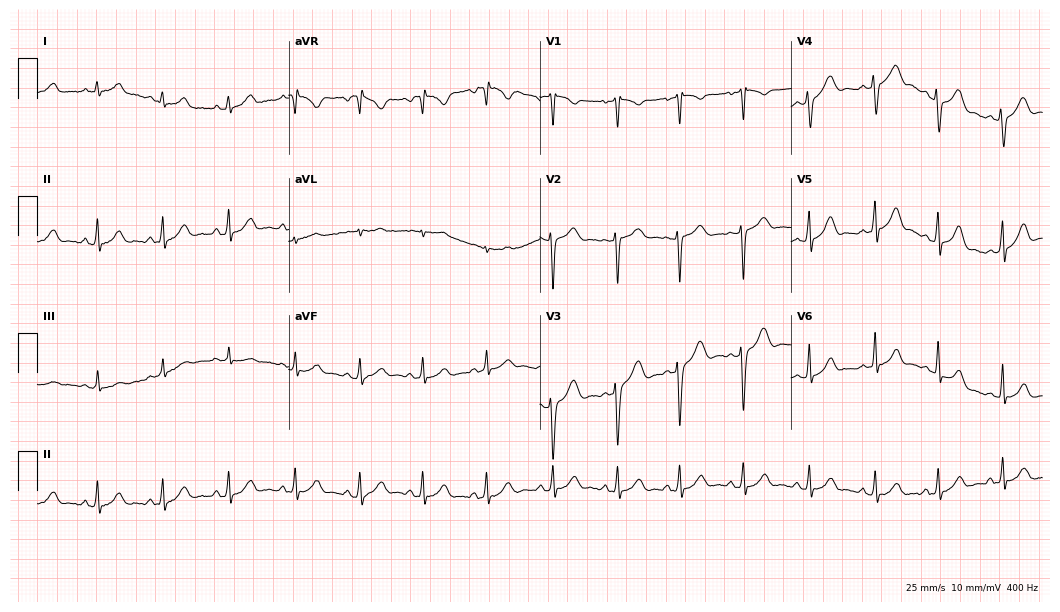
12-lead ECG from a 26-year-old female patient. Labelled as a normal ECG.